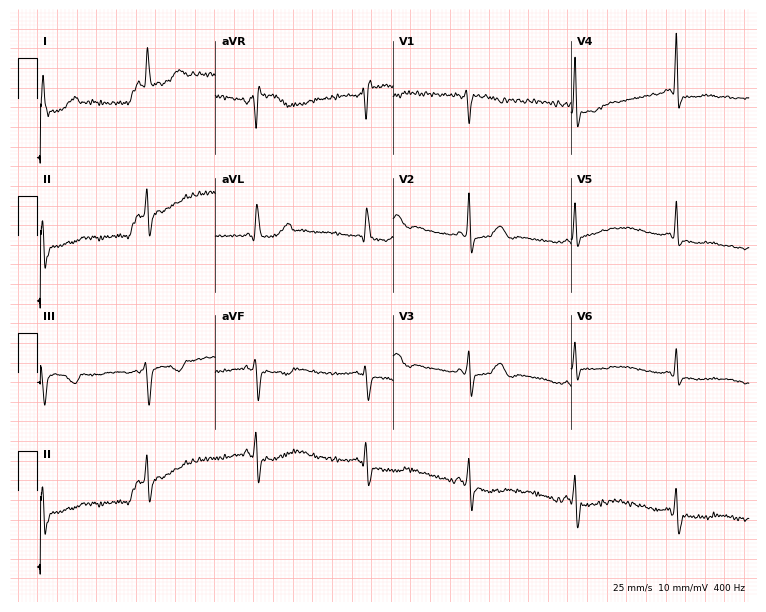
12-lead ECG from a 64-year-old woman. No first-degree AV block, right bundle branch block, left bundle branch block, sinus bradycardia, atrial fibrillation or sinus tachycardia recorded for this tracing.